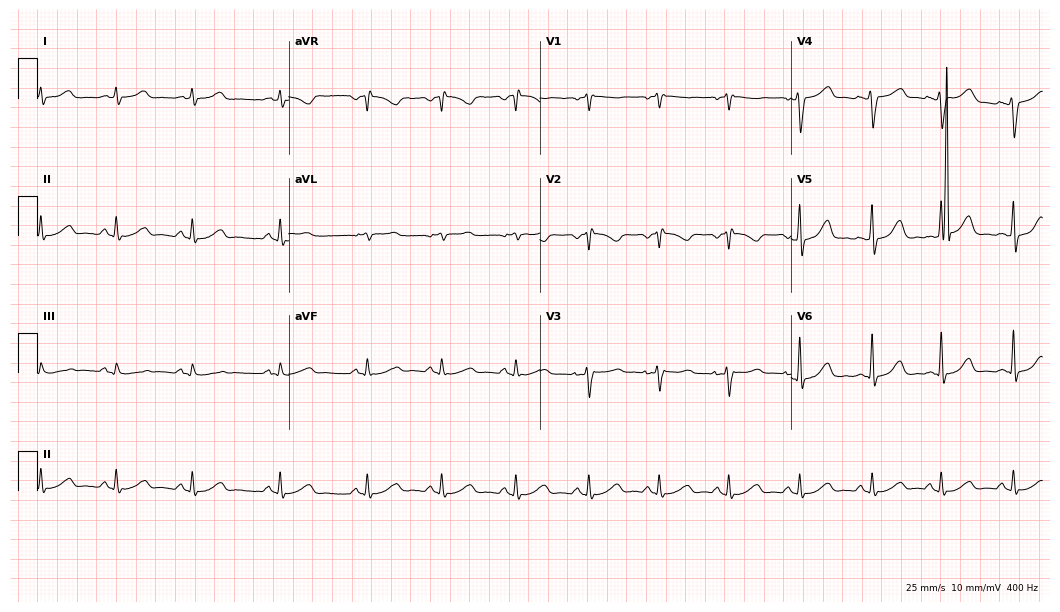
Standard 12-lead ECG recorded from a female patient, 35 years old. Read as a normal ECG.